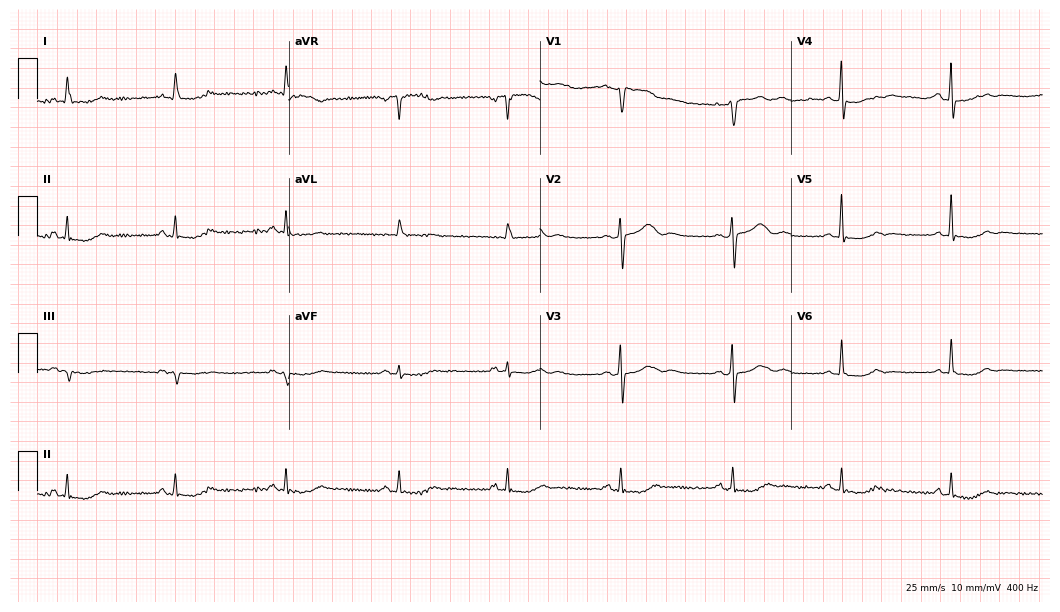
Resting 12-lead electrocardiogram. Patient: a female, 79 years old. None of these six findings is recorded: first-degree AV block, right bundle branch block, left bundle branch block, sinus bradycardia, atrial fibrillation, sinus tachycardia. Only these six findings were labelled.